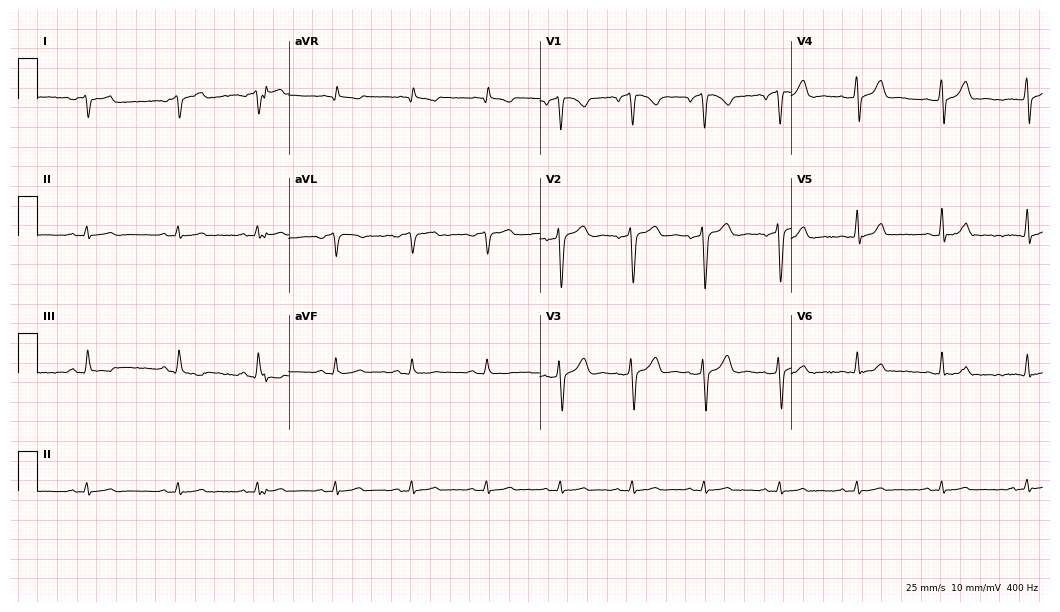
ECG — a male patient, 32 years old. Screened for six findings — first-degree AV block, right bundle branch block, left bundle branch block, sinus bradycardia, atrial fibrillation, sinus tachycardia — none is recorded.